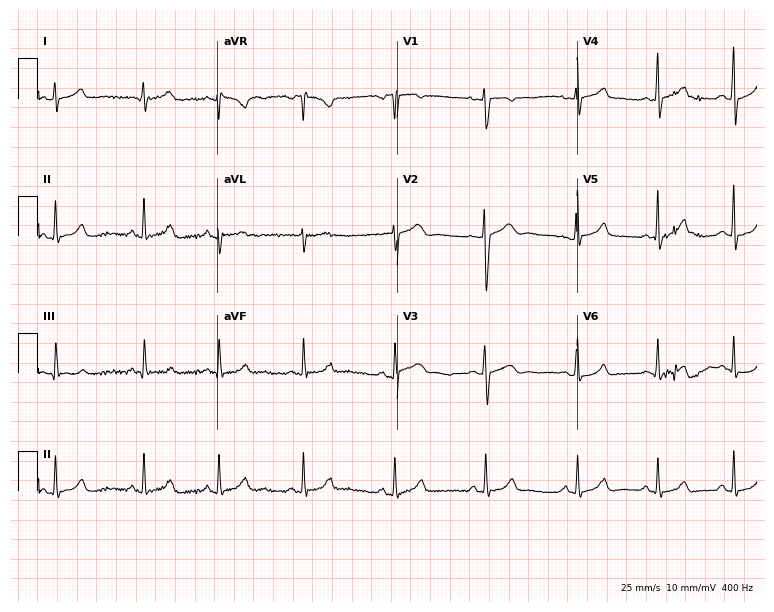
12-lead ECG (7.3-second recording at 400 Hz) from a woman, 29 years old. Labelled as a normal ECG.